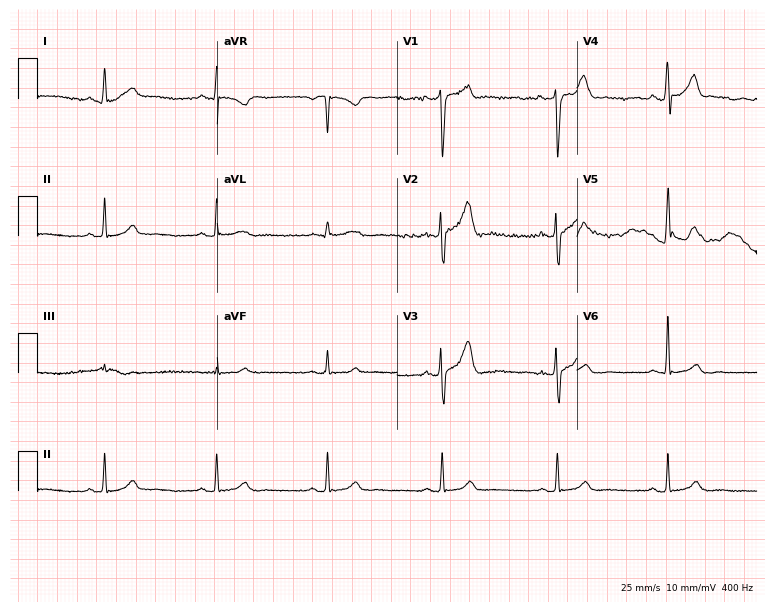
Electrocardiogram (7.3-second recording at 400 Hz), a 33-year-old male. Of the six screened findings (first-degree AV block, right bundle branch block (RBBB), left bundle branch block (LBBB), sinus bradycardia, atrial fibrillation (AF), sinus tachycardia), none is recorded.